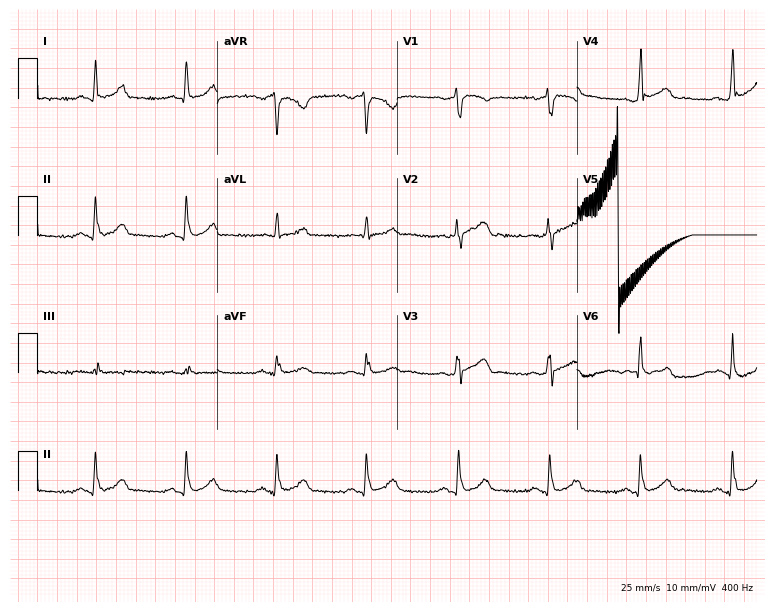
Resting 12-lead electrocardiogram. Patient: a 68-year-old male. Read as a normal ECG.